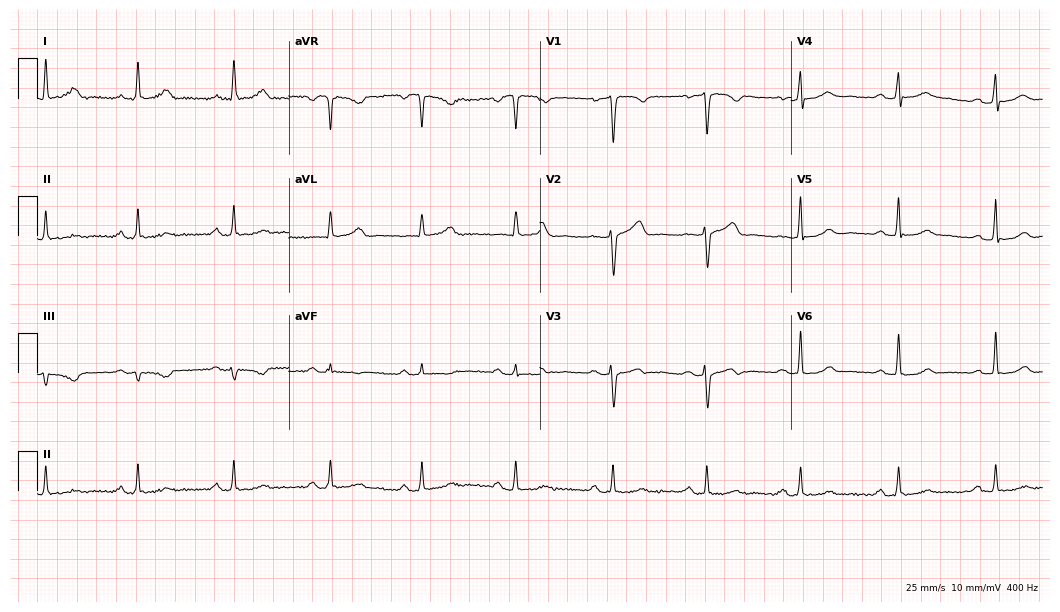
Resting 12-lead electrocardiogram (10.2-second recording at 400 Hz). Patient: a female, 42 years old. Read as a normal ECG.